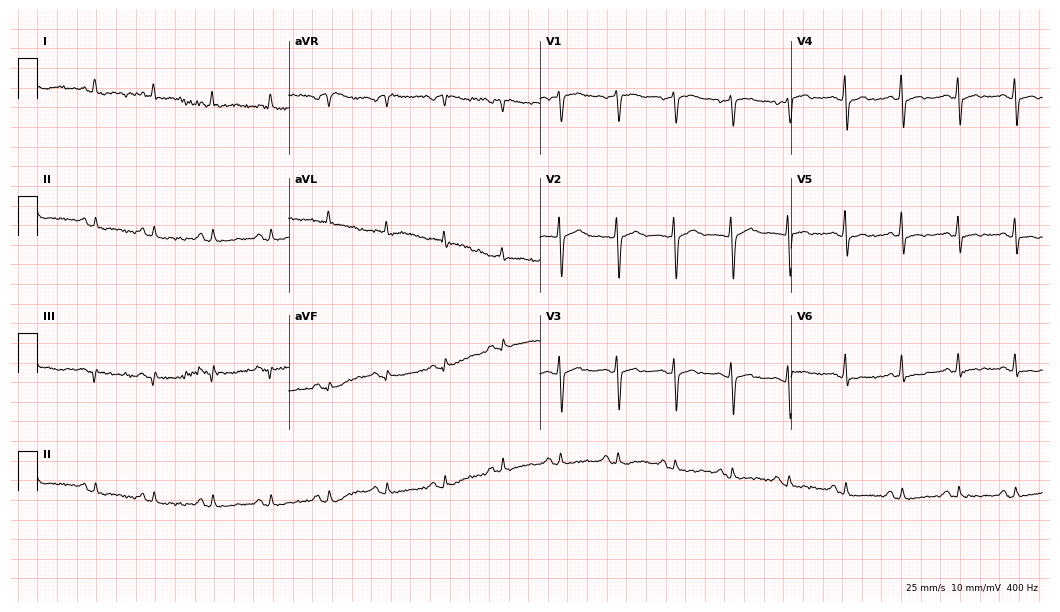
Electrocardiogram (10.2-second recording at 400 Hz), a woman, 54 years old. Of the six screened findings (first-degree AV block, right bundle branch block, left bundle branch block, sinus bradycardia, atrial fibrillation, sinus tachycardia), none is recorded. Only these six findings were labelled.